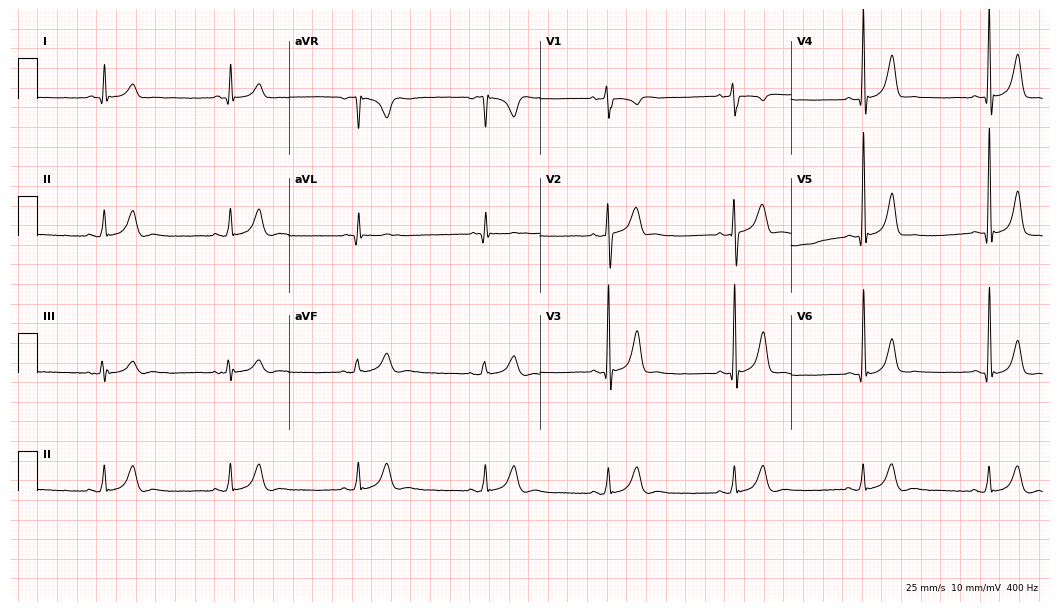
ECG — a man, 55 years old. Findings include sinus bradycardia (a sinus rate of 50 beats per minute or less).